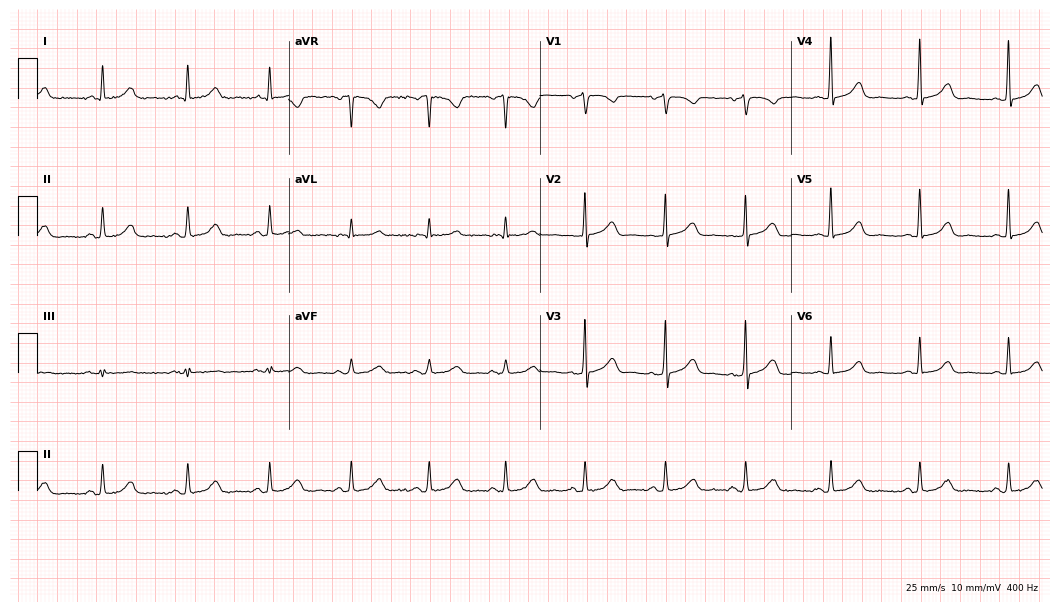
12-lead ECG (10.2-second recording at 400 Hz) from a 60-year-old woman. Labelled as a normal ECG.